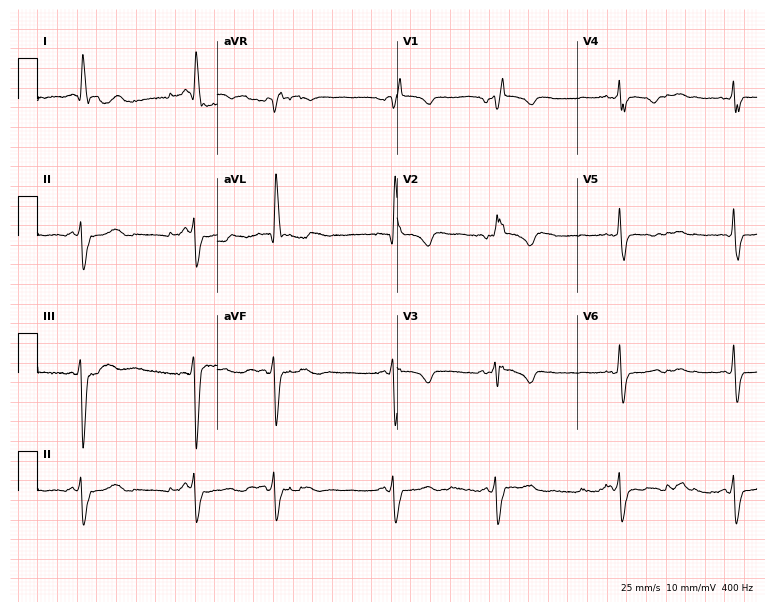
12-lead ECG from a female, 52 years old (7.3-second recording at 400 Hz). Shows right bundle branch block (RBBB).